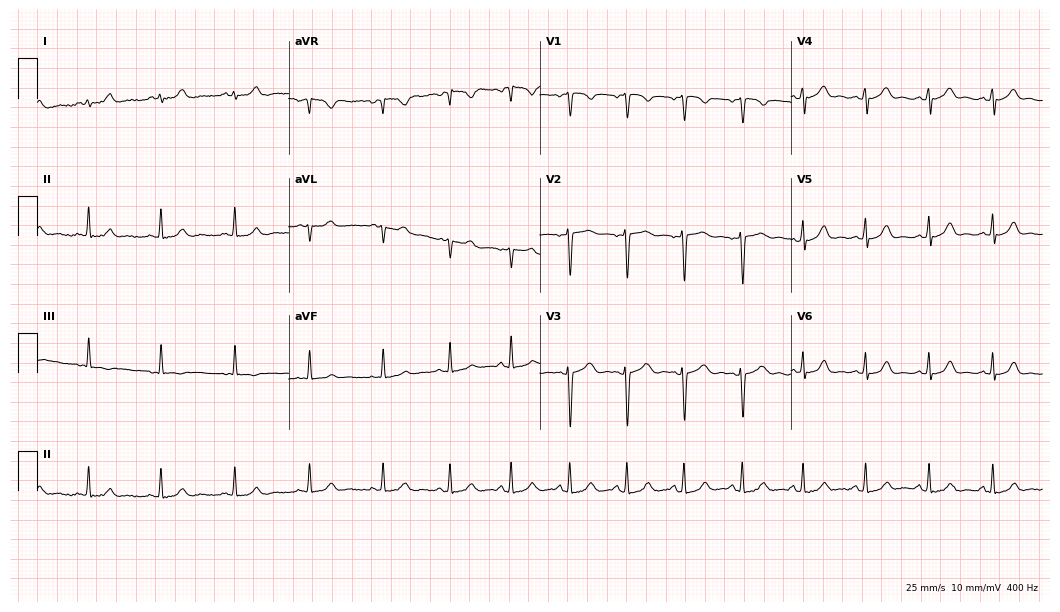
Electrocardiogram (10.2-second recording at 400 Hz), a woman, 24 years old. Of the six screened findings (first-degree AV block, right bundle branch block, left bundle branch block, sinus bradycardia, atrial fibrillation, sinus tachycardia), none is recorded. Only these six findings were labelled.